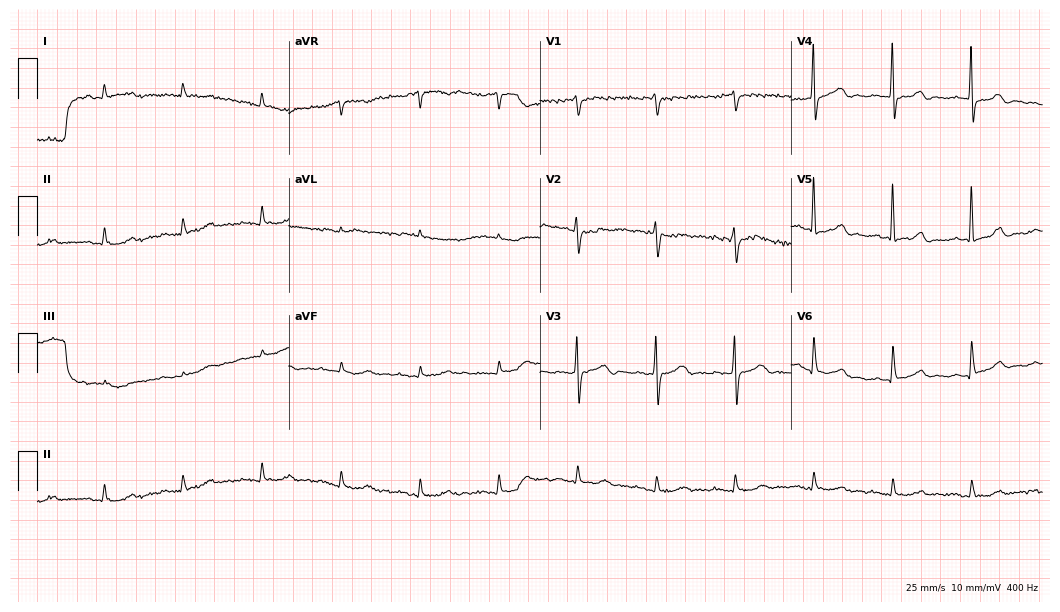
Electrocardiogram, a male patient, 82 years old. Of the six screened findings (first-degree AV block, right bundle branch block, left bundle branch block, sinus bradycardia, atrial fibrillation, sinus tachycardia), none is recorded.